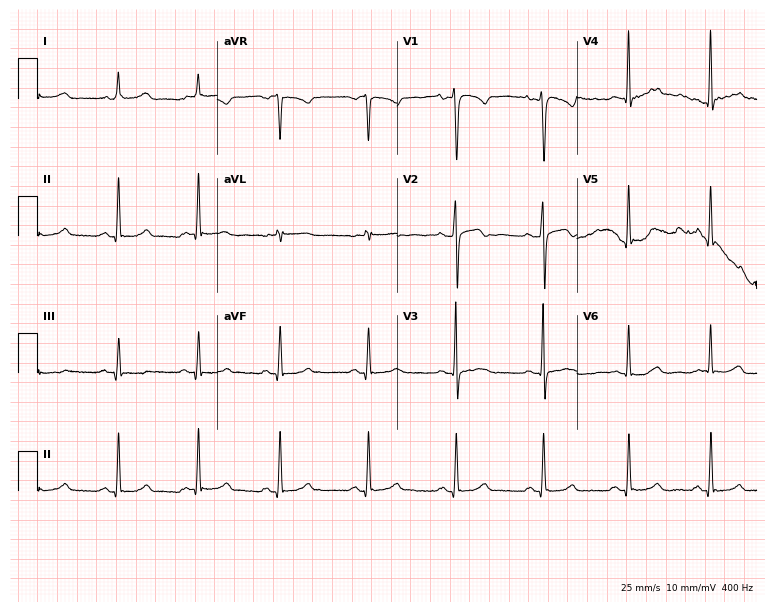
ECG — a 38-year-old female patient. Labelled as a normal ECG.